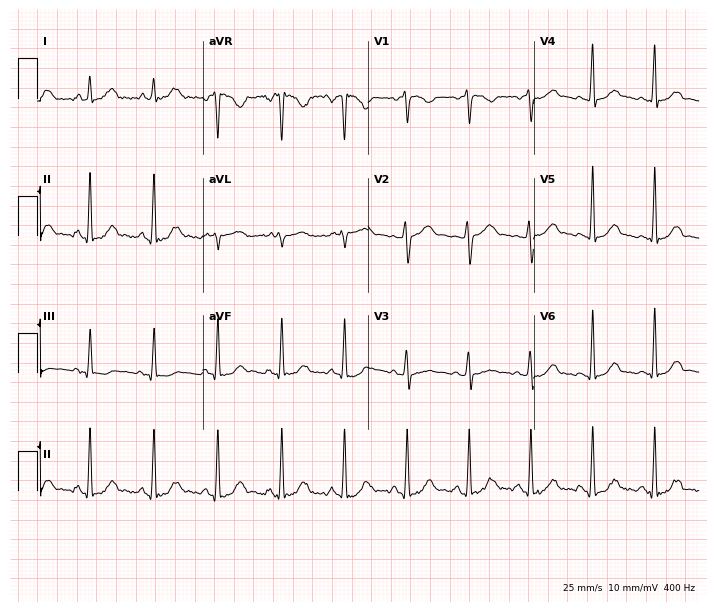
ECG (6.7-second recording at 400 Hz) — a female, 43 years old. Labelled as a normal ECG.